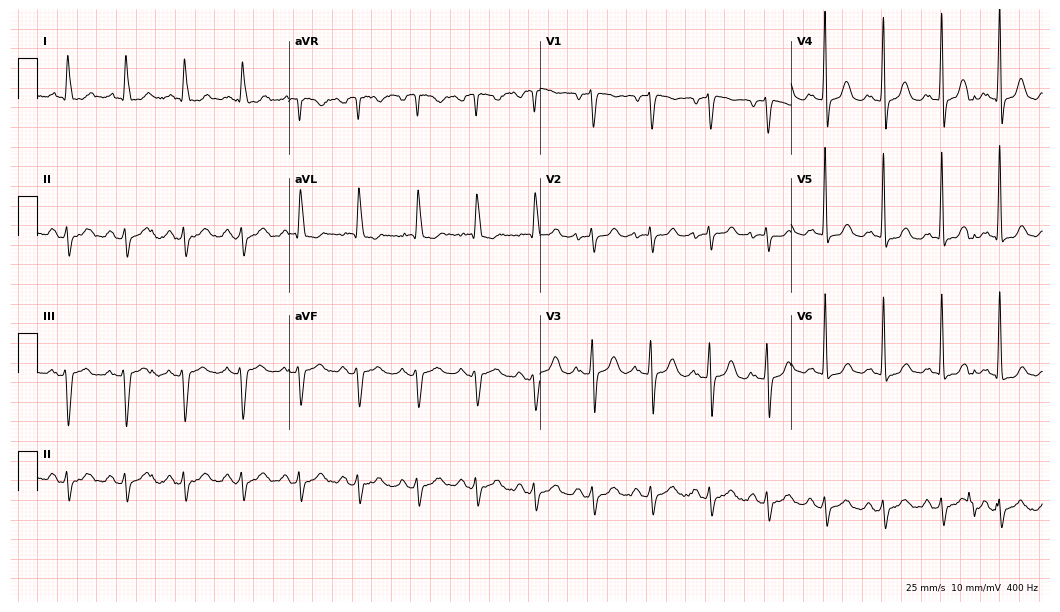
Electrocardiogram (10.2-second recording at 400 Hz), a 78-year-old female. Interpretation includes sinus tachycardia (a sinus rate of 100 beats per minute or more).